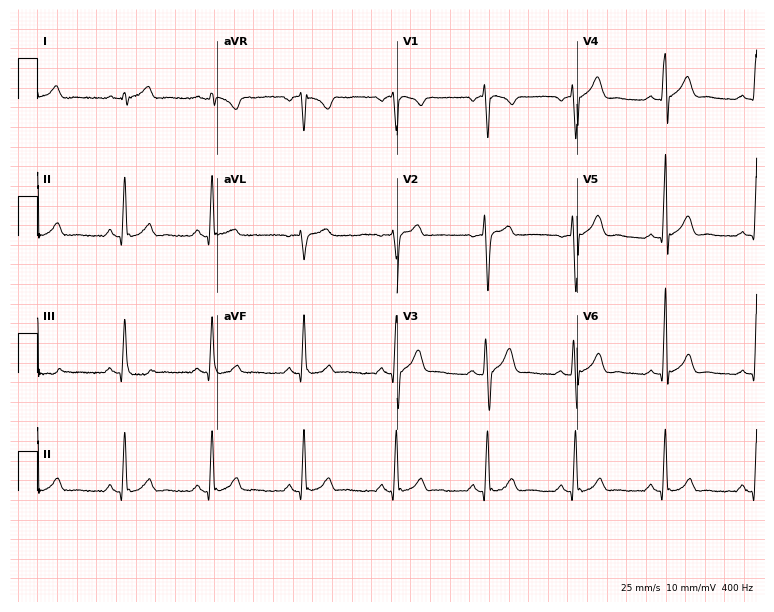
Resting 12-lead electrocardiogram. Patient: a 26-year-old male. Read as a normal ECG.